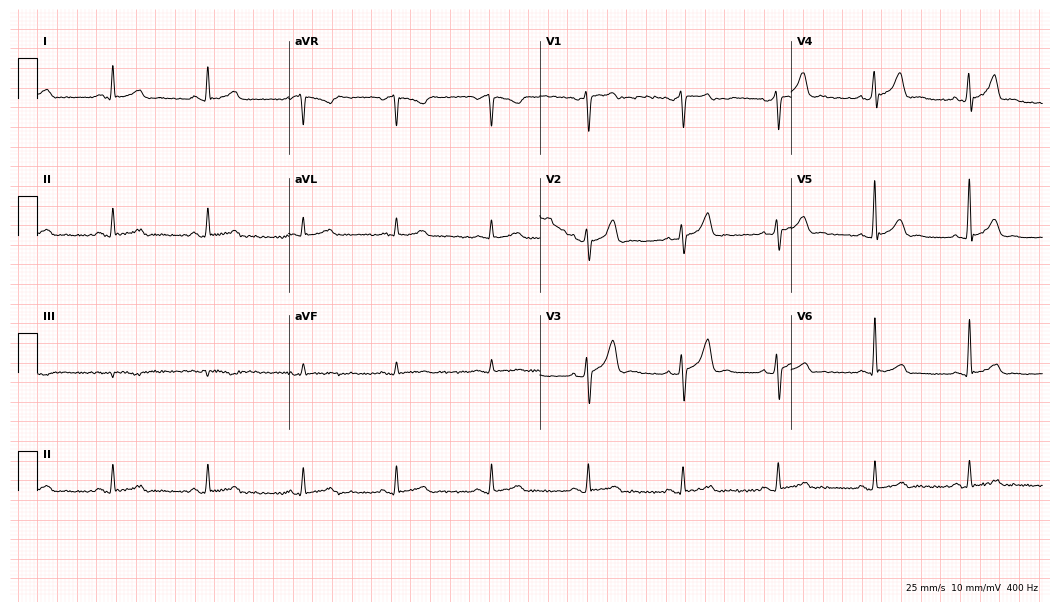
Resting 12-lead electrocardiogram (10.2-second recording at 400 Hz). Patient: a 40-year-old man. Read as a normal ECG.